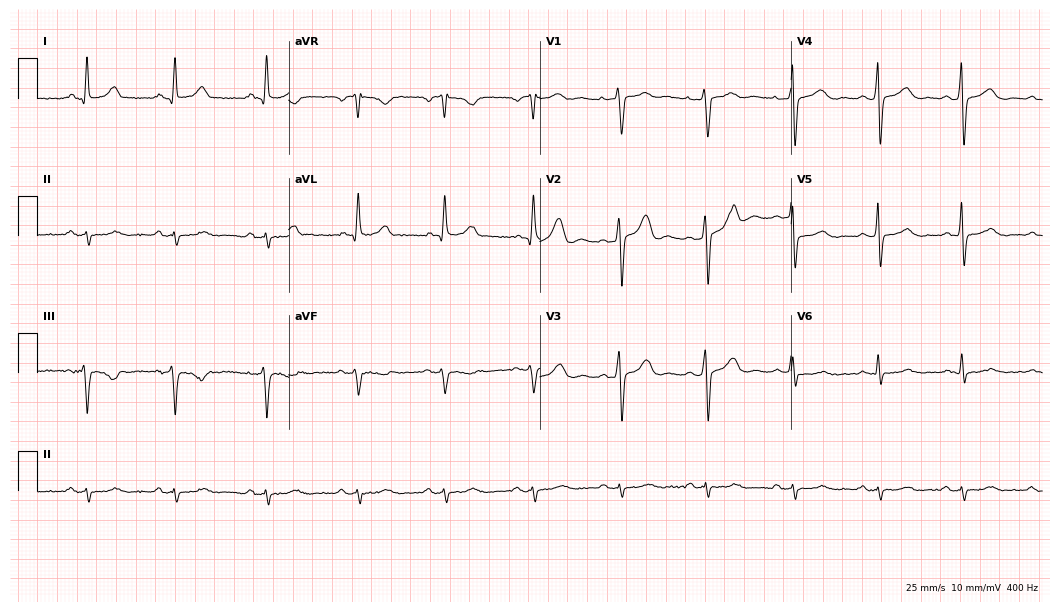
Electrocardiogram (10.2-second recording at 400 Hz), a 53-year-old man. Of the six screened findings (first-degree AV block, right bundle branch block, left bundle branch block, sinus bradycardia, atrial fibrillation, sinus tachycardia), none is recorded.